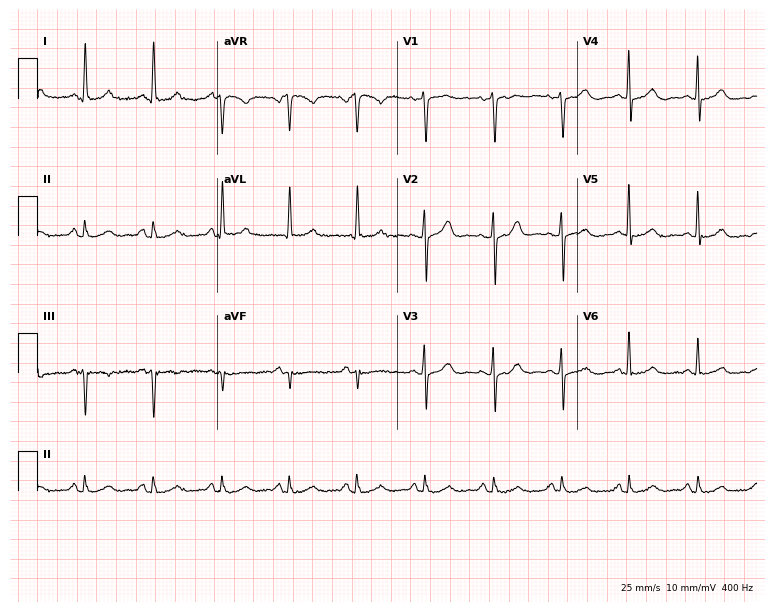
Resting 12-lead electrocardiogram. Patient: a 67-year-old female. None of these six findings is recorded: first-degree AV block, right bundle branch block, left bundle branch block, sinus bradycardia, atrial fibrillation, sinus tachycardia. Only these six findings were labelled.